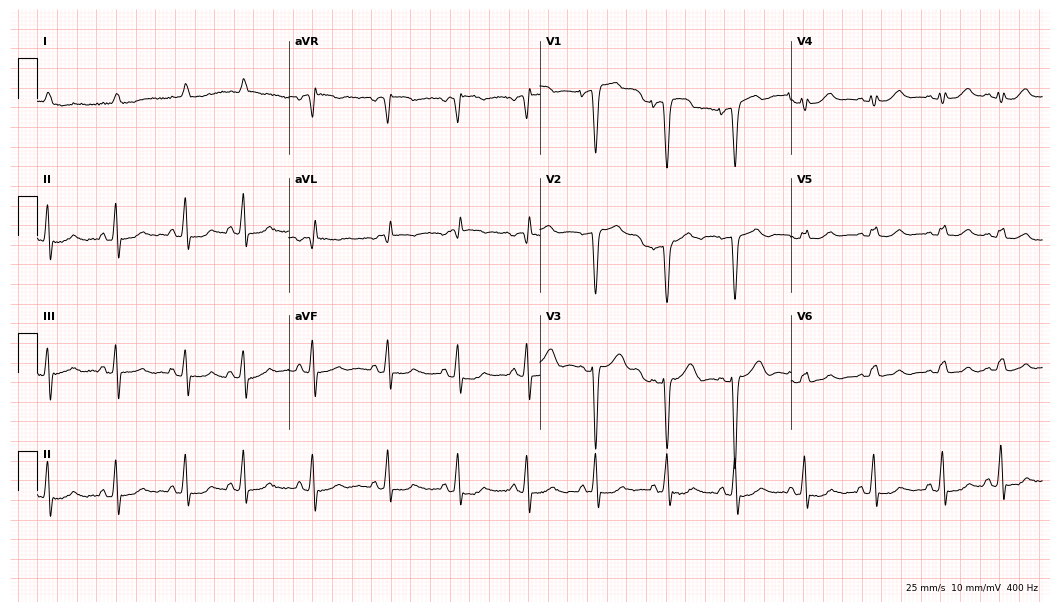
Electrocardiogram (10.2-second recording at 400 Hz), a female patient, 85 years old. Of the six screened findings (first-degree AV block, right bundle branch block (RBBB), left bundle branch block (LBBB), sinus bradycardia, atrial fibrillation (AF), sinus tachycardia), none is recorded. Other findings, if any, are not listed.